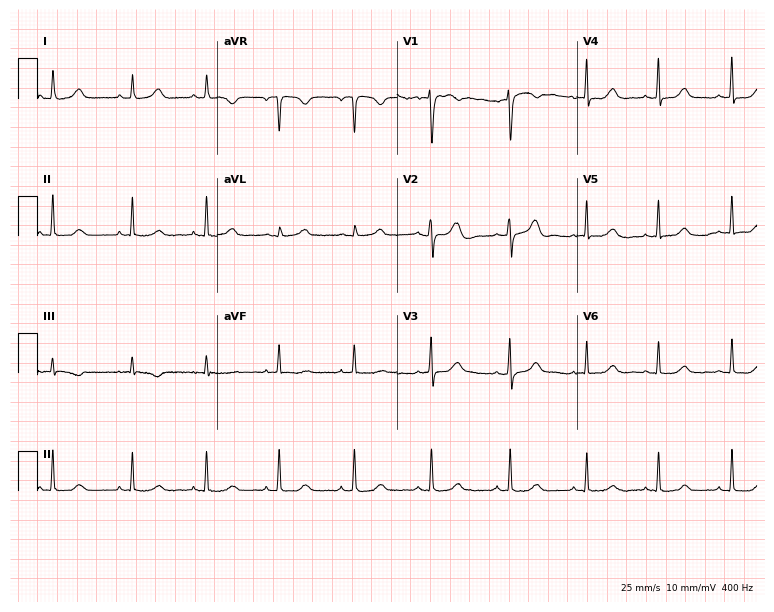
Electrocardiogram, a 30-year-old woman. Overall reading on record: normal ECG.